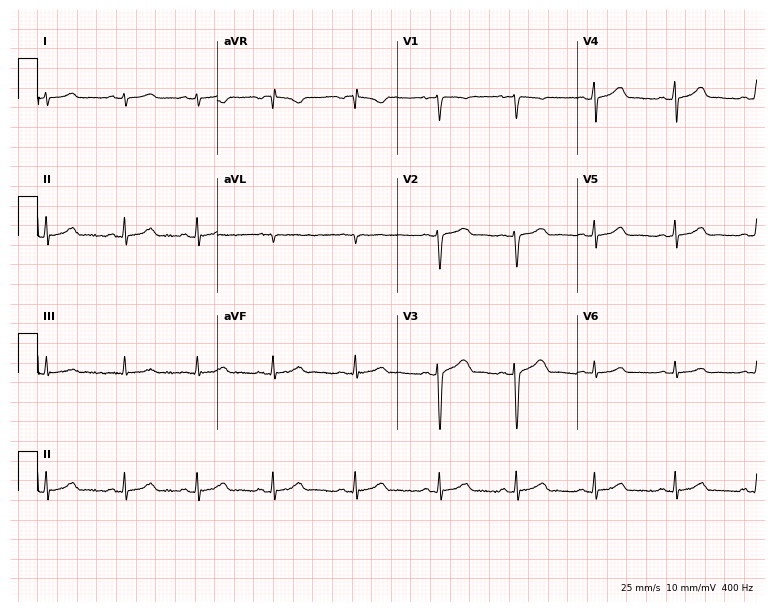
12-lead ECG from an 18-year-old female patient. Recorded interpretation: within normal limits.